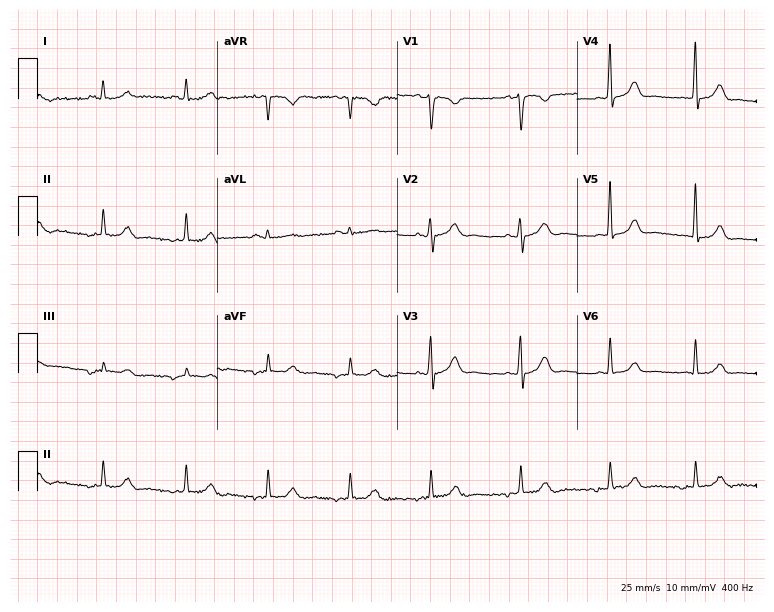
ECG (7.3-second recording at 400 Hz) — a 29-year-old female patient. Screened for six findings — first-degree AV block, right bundle branch block (RBBB), left bundle branch block (LBBB), sinus bradycardia, atrial fibrillation (AF), sinus tachycardia — none is recorded. Other findings, if any, are not listed.